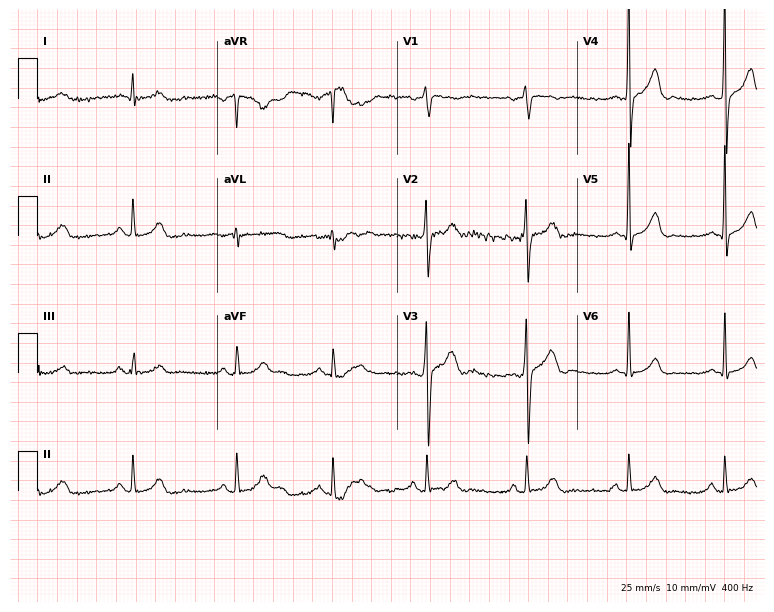
ECG — a 35-year-old male. Labelled as a normal ECG.